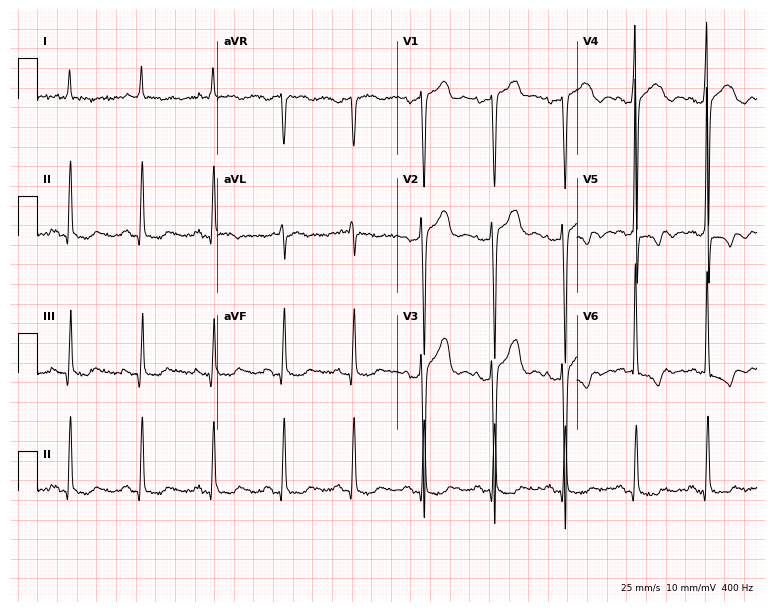
Resting 12-lead electrocardiogram (7.3-second recording at 400 Hz). Patient: an 85-year-old male. None of these six findings is recorded: first-degree AV block, right bundle branch block, left bundle branch block, sinus bradycardia, atrial fibrillation, sinus tachycardia. Findings outside these six are not listed.